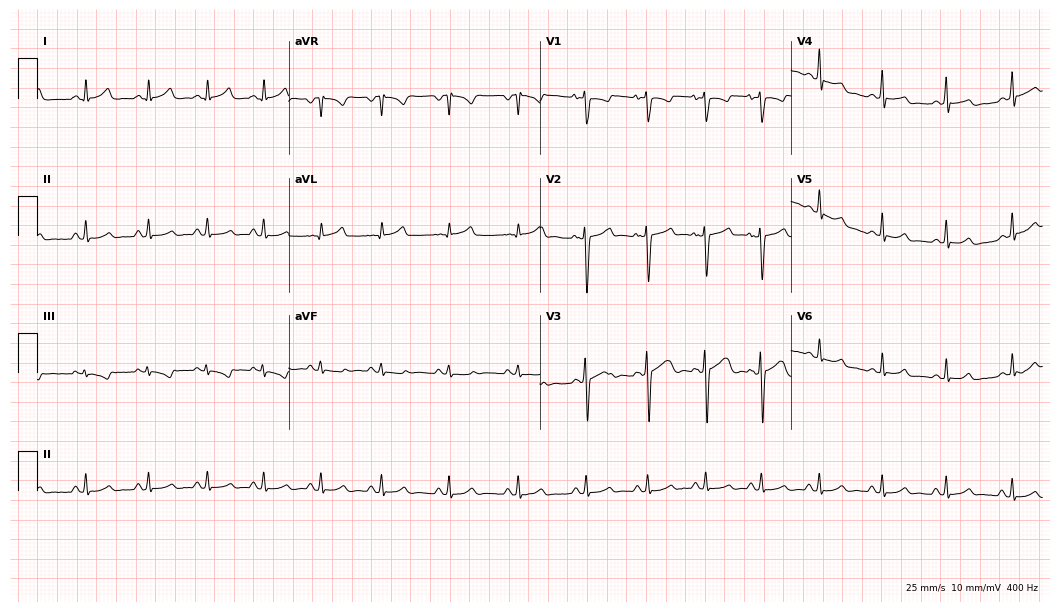
12-lead ECG from a 24-year-old female patient. Screened for six findings — first-degree AV block, right bundle branch block, left bundle branch block, sinus bradycardia, atrial fibrillation, sinus tachycardia — none is recorded. Findings outside these six are not listed.